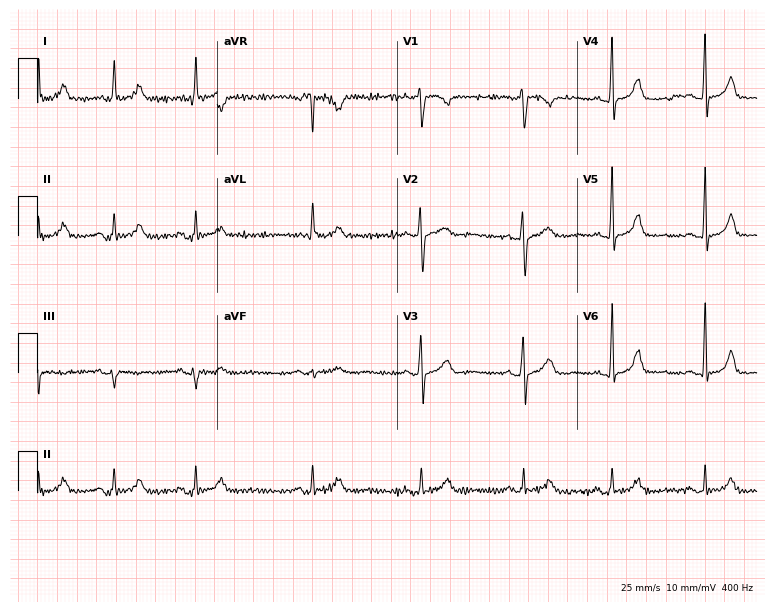
Electrocardiogram (7.3-second recording at 400 Hz), a 35-year-old female. Overall reading on record: normal ECG.